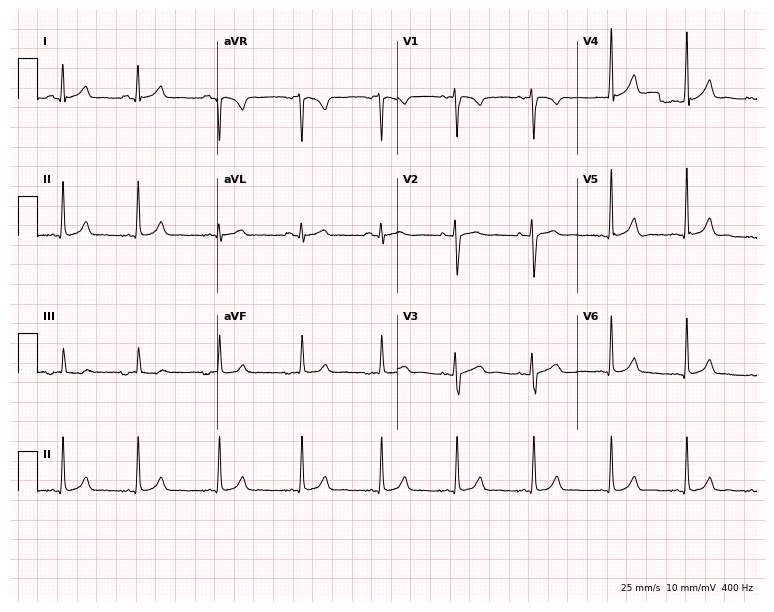
12-lead ECG from a woman, 28 years old (7.3-second recording at 400 Hz). Recorded interpretation: within normal limits.